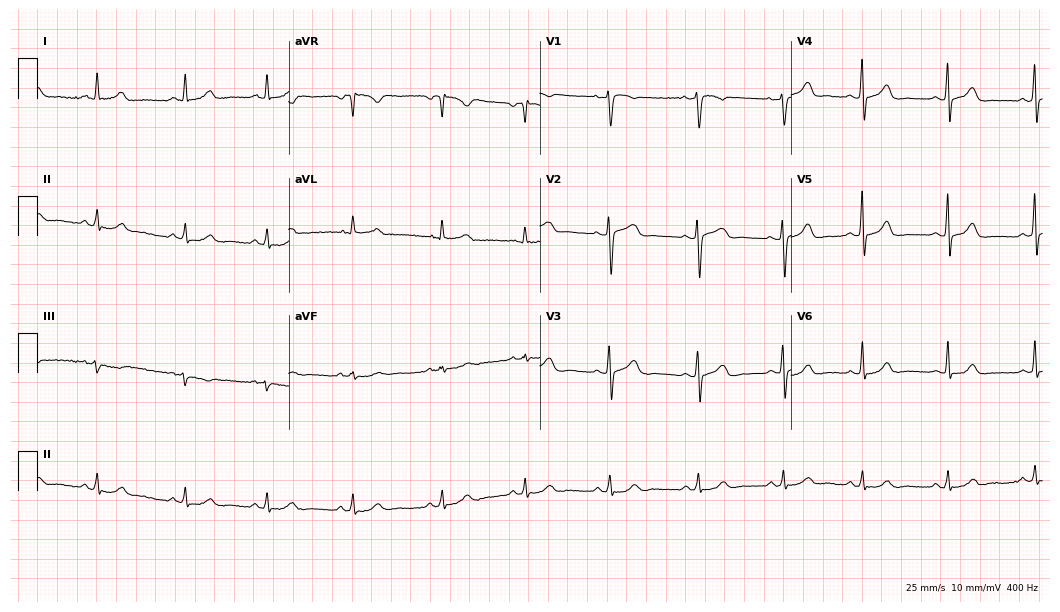
Standard 12-lead ECG recorded from a woman, 44 years old (10.2-second recording at 400 Hz). Read as a normal ECG.